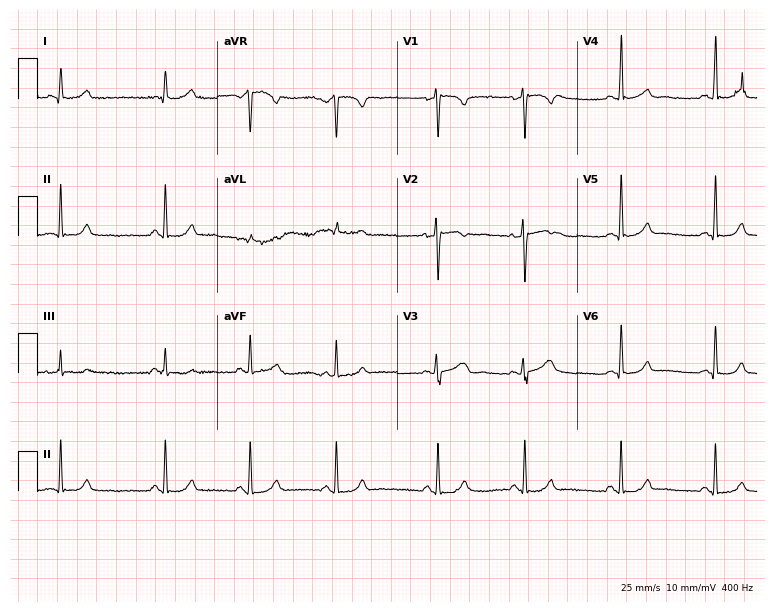
Resting 12-lead electrocardiogram. Patient: a female, 26 years old. Read as a normal ECG.